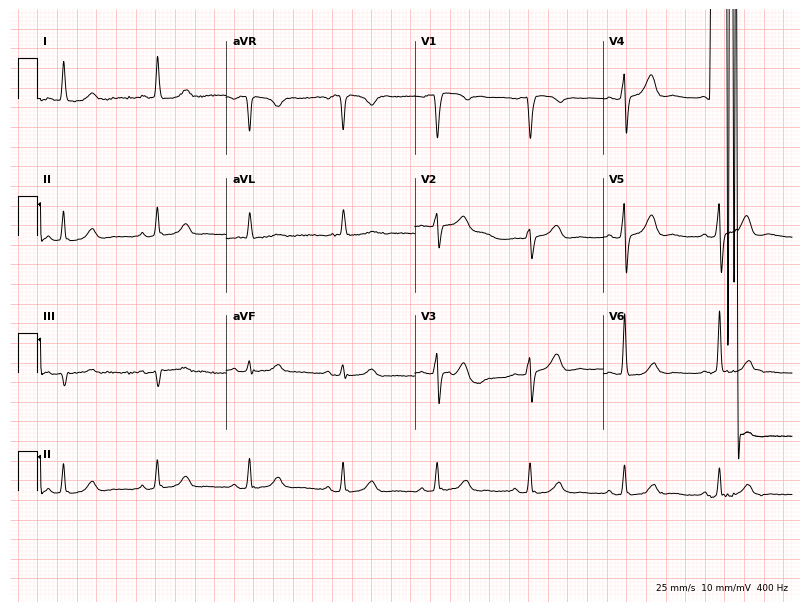
Electrocardiogram (7.7-second recording at 400 Hz), an 83-year-old male. Overall reading on record: normal ECG.